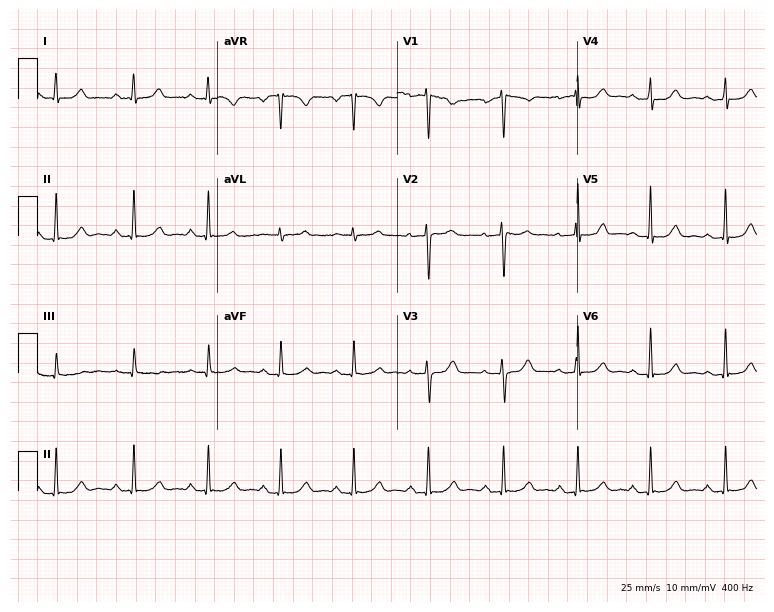
ECG (7.3-second recording at 400 Hz) — a 43-year-old female patient. Labelled as a normal ECG.